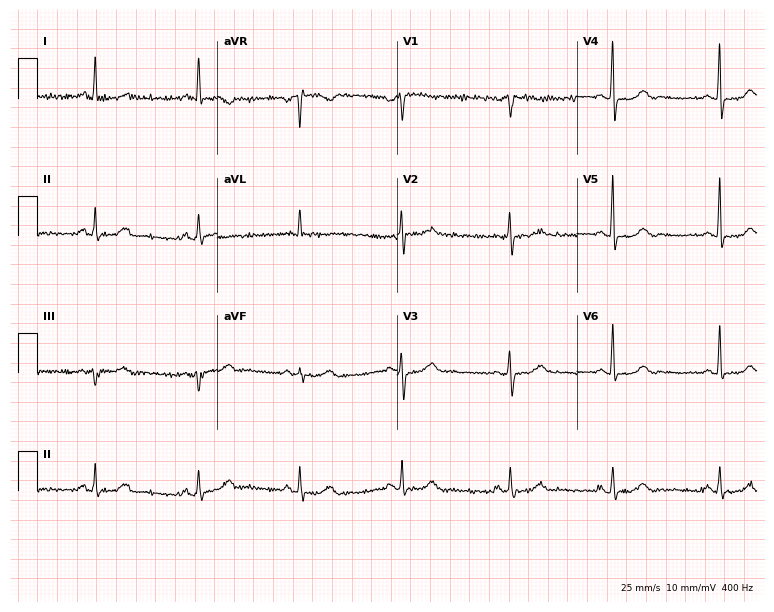
12-lead ECG from a 61-year-old female. Recorded interpretation: within normal limits.